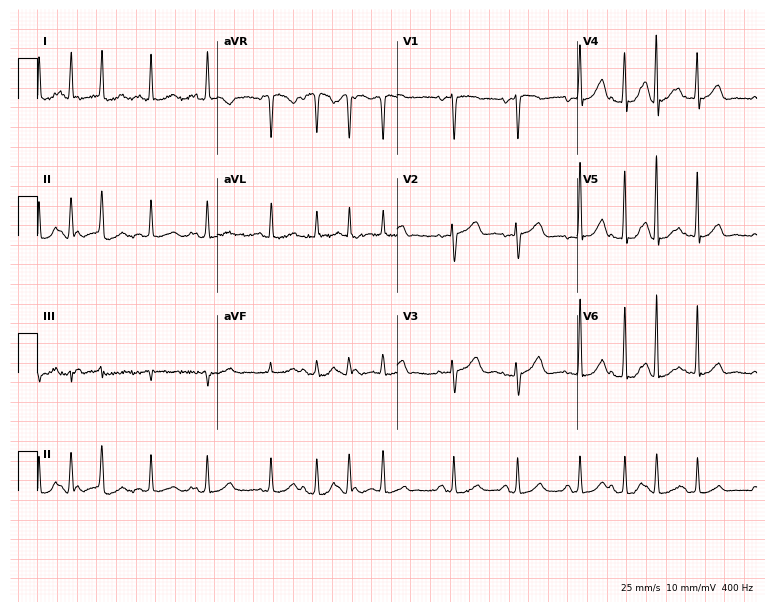
Resting 12-lead electrocardiogram. Patient: a woman, 45 years old. None of these six findings is recorded: first-degree AV block, right bundle branch block, left bundle branch block, sinus bradycardia, atrial fibrillation, sinus tachycardia.